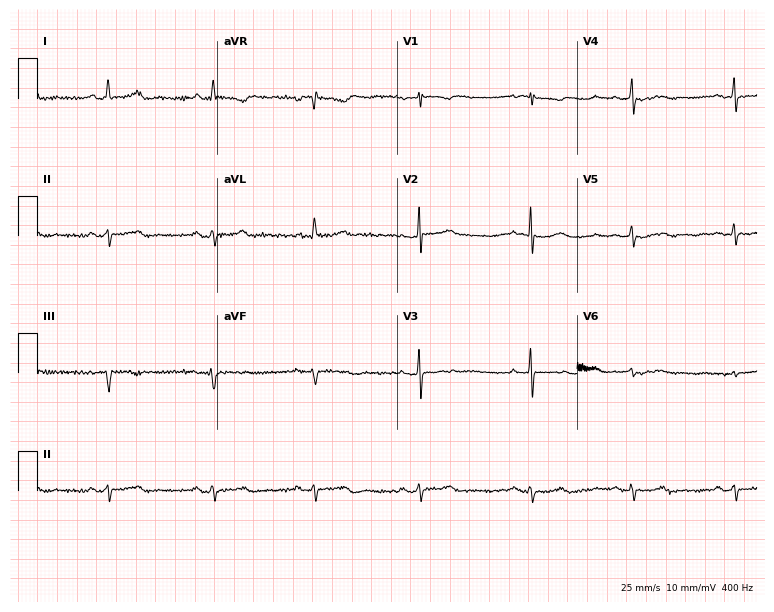
Electrocardiogram, a female patient, 80 years old. Of the six screened findings (first-degree AV block, right bundle branch block, left bundle branch block, sinus bradycardia, atrial fibrillation, sinus tachycardia), none is recorded.